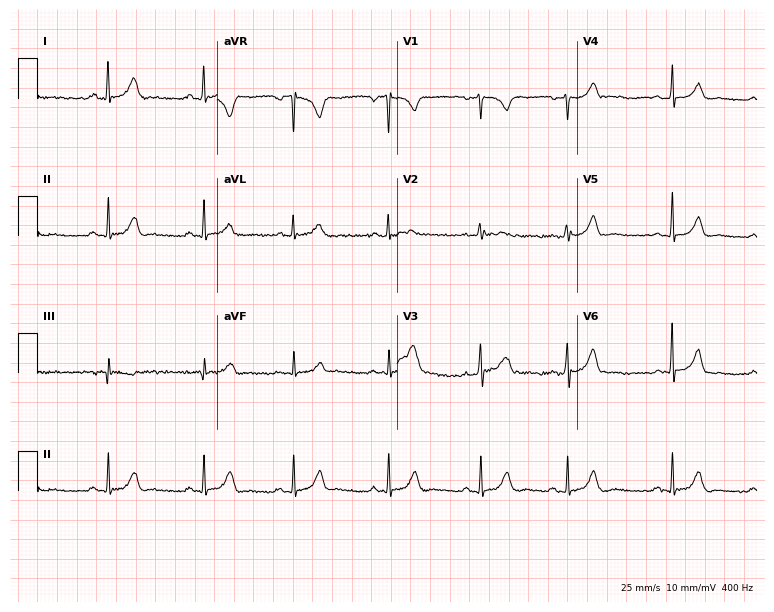
12-lead ECG (7.3-second recording at 400 Hz) from a 33-year-old female. Labelled as a normal ECG.